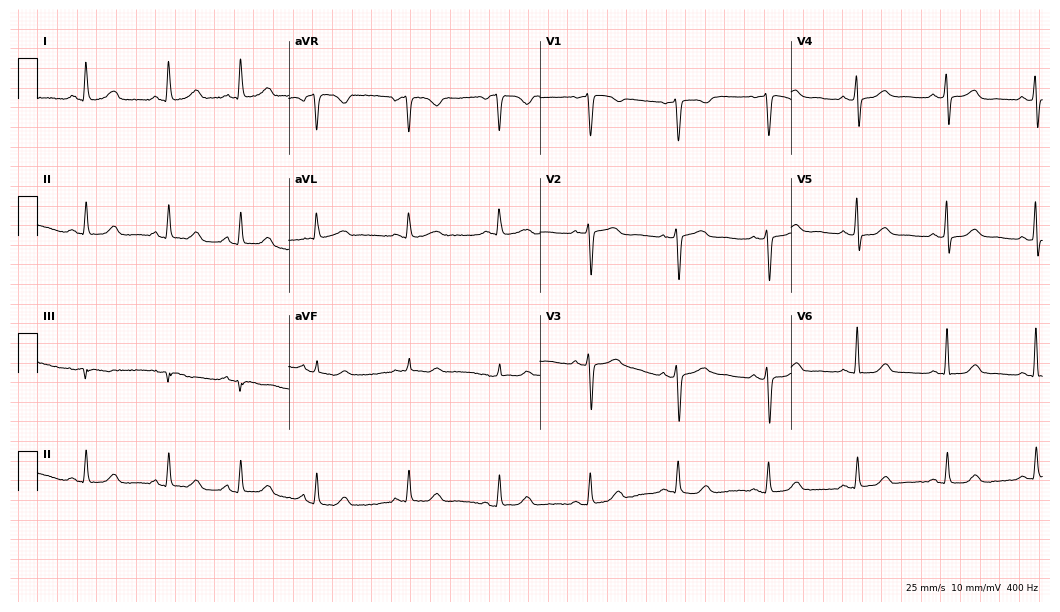
Electrocardiogram, a 60-year-old female patient. Overall reading on record: normal ECG.